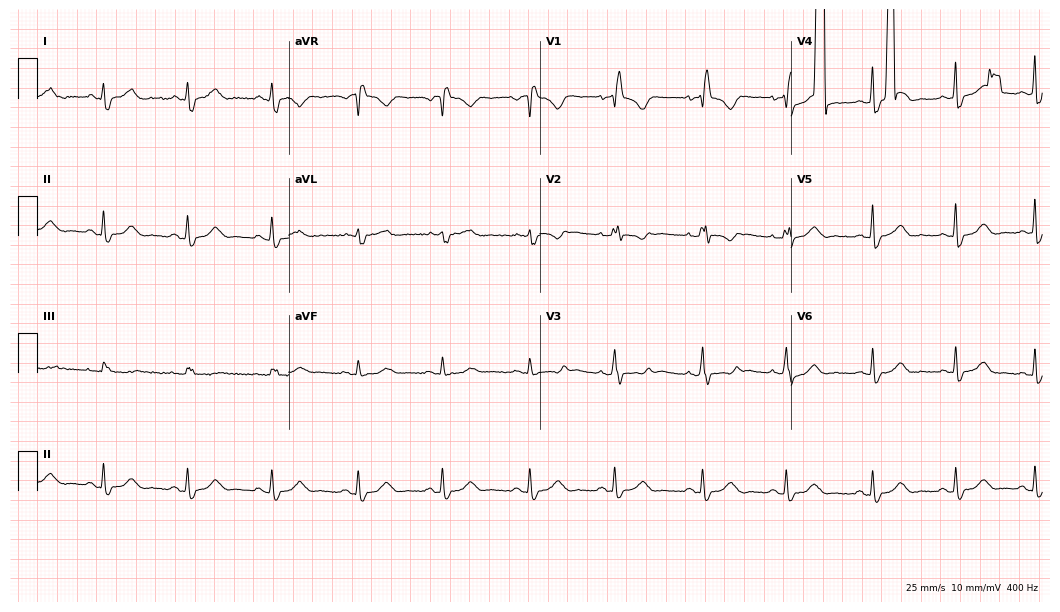
ECG — a woman, 69 years old. Screened for six findings — first-degree AV block, right bundle branch block, left bundle branch block, sinus bradycardia, atrial fibrillation, sinus tachycardia — none is recorded.